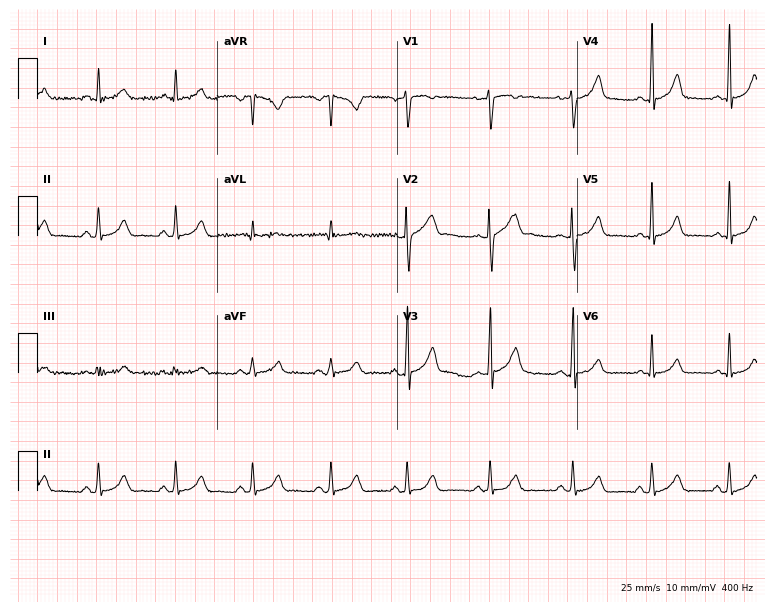
ECG — a 24-year-old woman. Labelled as a normal ECG.